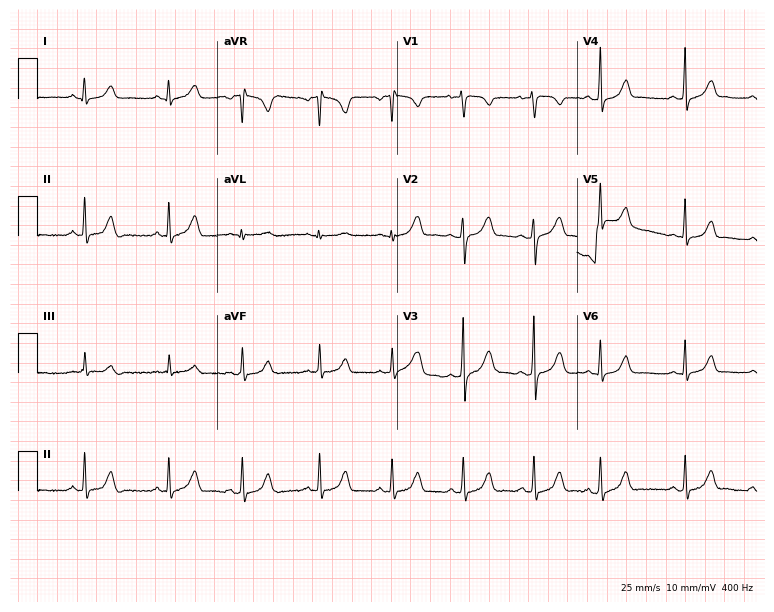
Standard 12-lead ECG recorded from a 22-year-old female patient. None of these six findings is recorded: first-degree AV block, right bundle branch block, left bundle branch block, sinus bradycardia, atrial fibrillation, sinus tachycardia. Only these six findings were labelled.